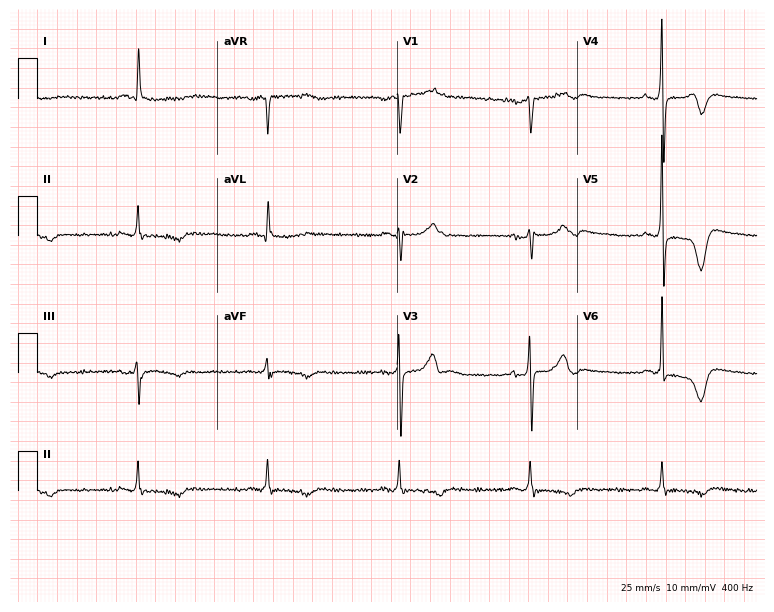
12-lead ECG from a male, 57 years old. Shows sinus bradycardia (a sinus rate of 50 beats per minute or less).